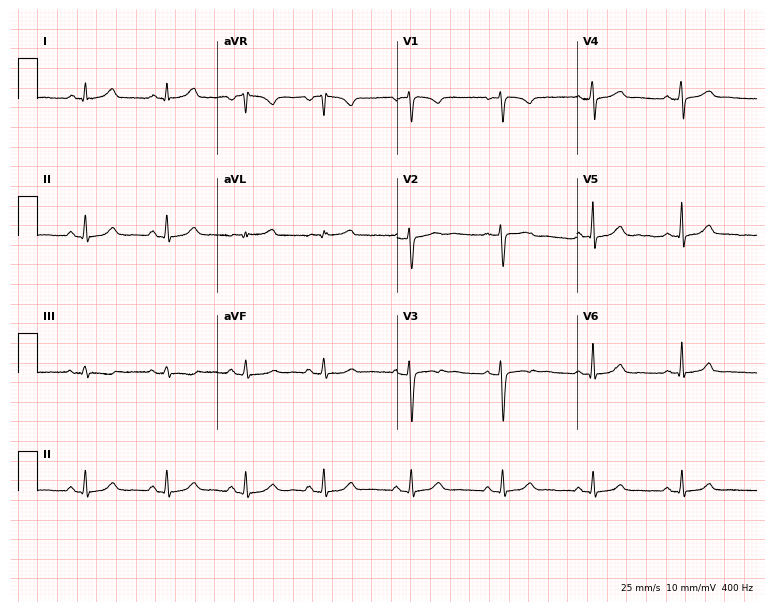
12-lead ECG from a 30-year-old female patient (7.3-second recording at 400 Hz). Recorded interpretation: within normal limits.